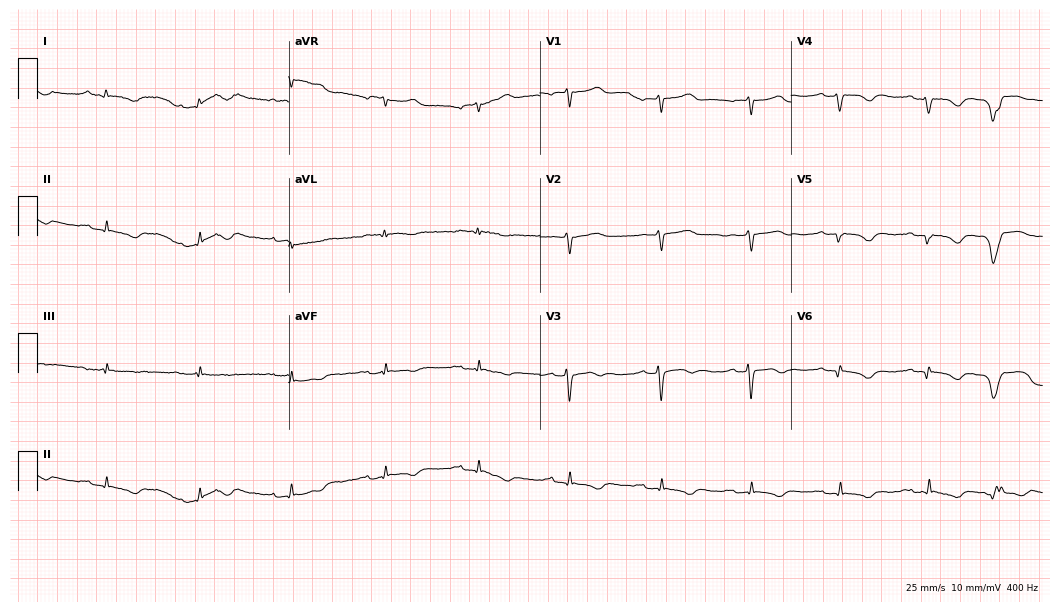
Resting 12-lead electrocardiogram. Patient: a man, 80 years old. None of these six findings is recorded: first-degree AV block, right bundle branch block, left bundle branch block, sinus bradycardia, atrial fibrillation, sinus tachycardia. Other findings, if any, are not listed.